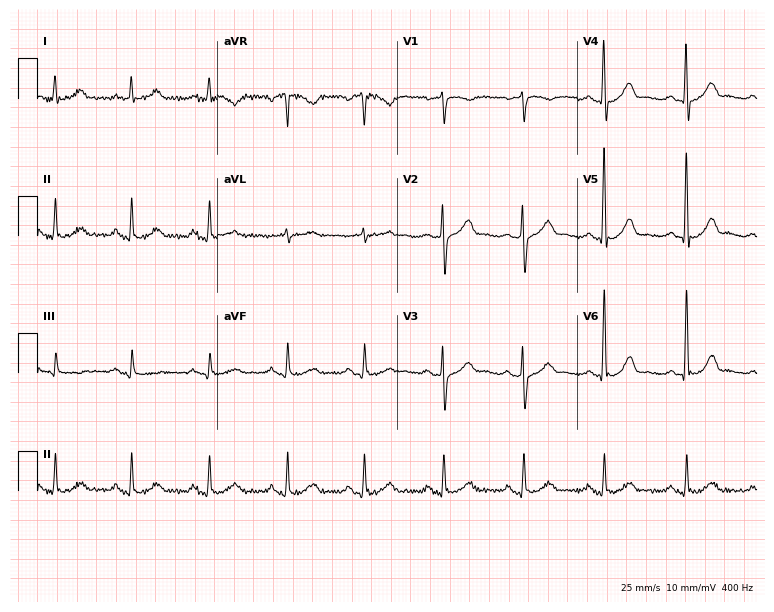
Standard 12-lead ECG recorded from a male, 56 years old. Read as a normal ECG.